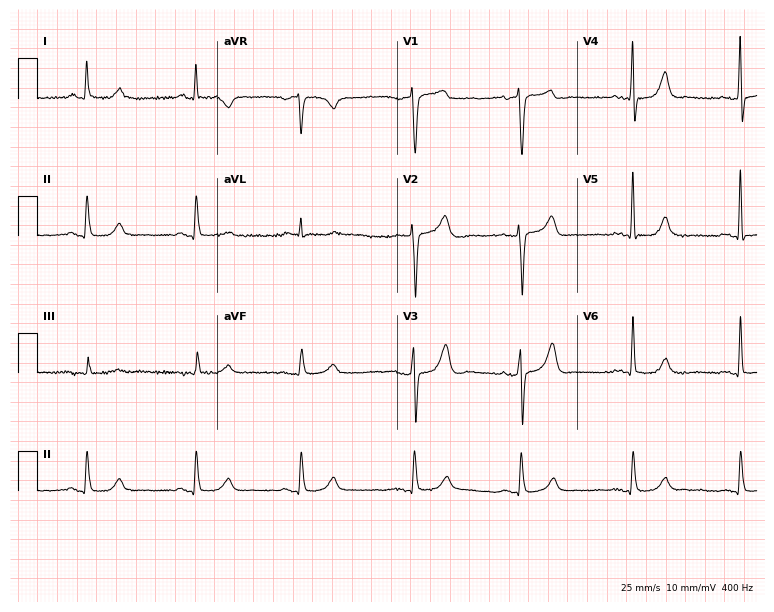
ECG (7.3-second recording at 400 Hz) — a 76-year-old man. Screened for six findings — first-degree AV block, right bundle branch block (RBBB), left bundle branch block (LBBB), sinus bradycardia, atrial fibrillation (AF), sinus tachycardia — none is recorded. Findings outside these six are not listed.